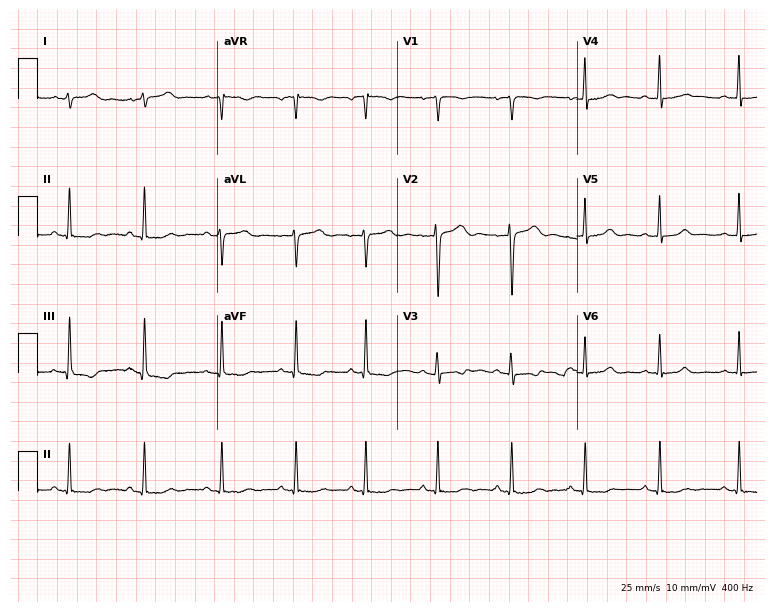
12-lead ECG from a woman, 25 years old. No first-degree AV block, right bundle branch block (RBBB), left bundle branch block (LBBB), sinus bradycardia, atrial fibrillation (AF) or sinus tachycardia recorded for this tracing. Findings outside these six are not listed.